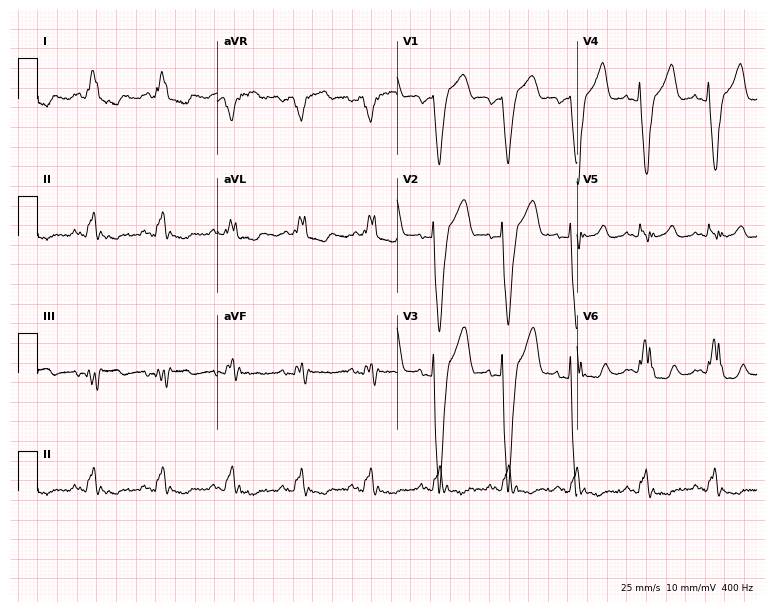
12-lead ECG from a 72-year-old male. Findings include left bundle branch block.